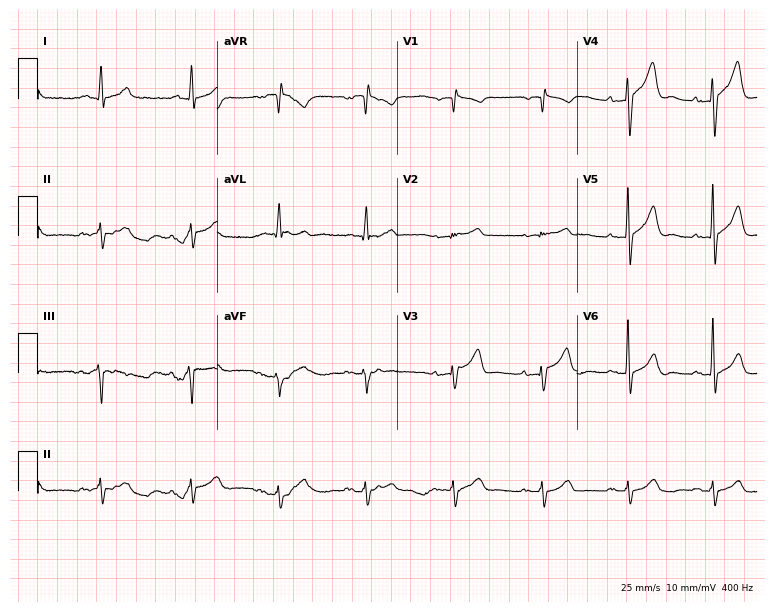
Electrocardiogram, a 67-year-old man. Of the six screened findings (first-degree AV block, right bundle branch block (RBBB), left bundle branch block (LBBB), sinus bradycardia, atrial fibrillation (AF), sinus tachycardia), none is recorded.